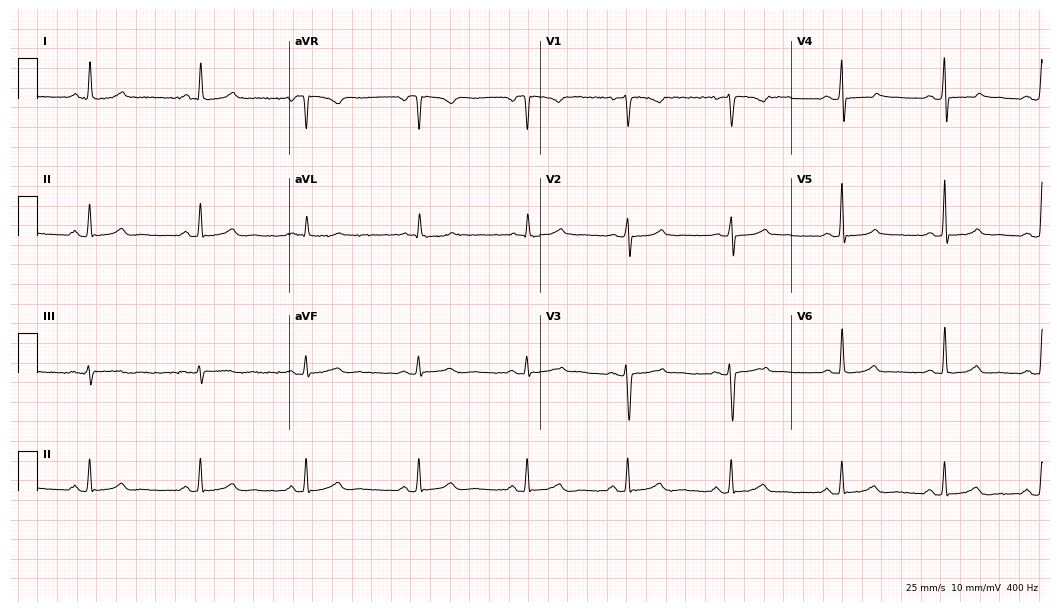
Resting 12-lead electrocardiogram. Patient: a female, 32 years old. Read as a normal ECG.